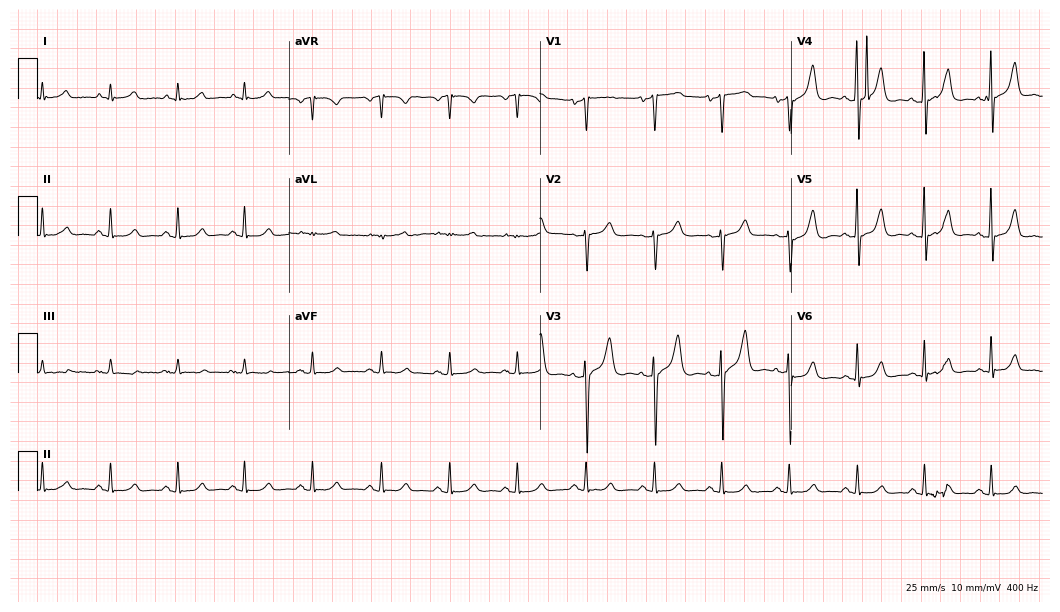
12-lead ECG from a male patient, 62 years old. Recorded interpretation: within normal limits.